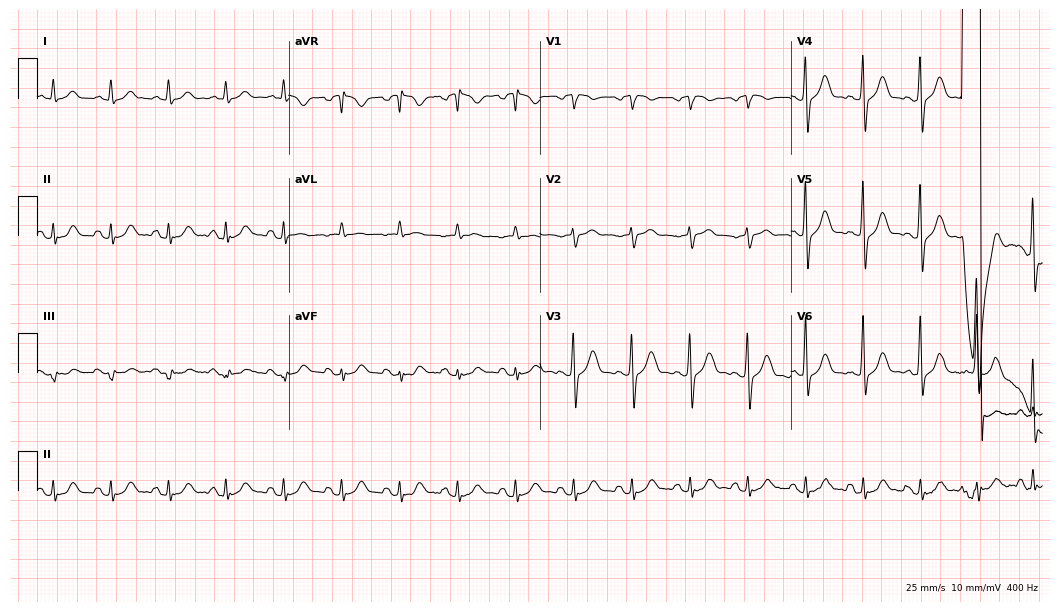
Electrocardiogram (10.2-second recording at 400 Hz), a 57-year-old male patient. Interpretation includes sinus tachycardia (a sinus rate of 100 beats per minute or more).